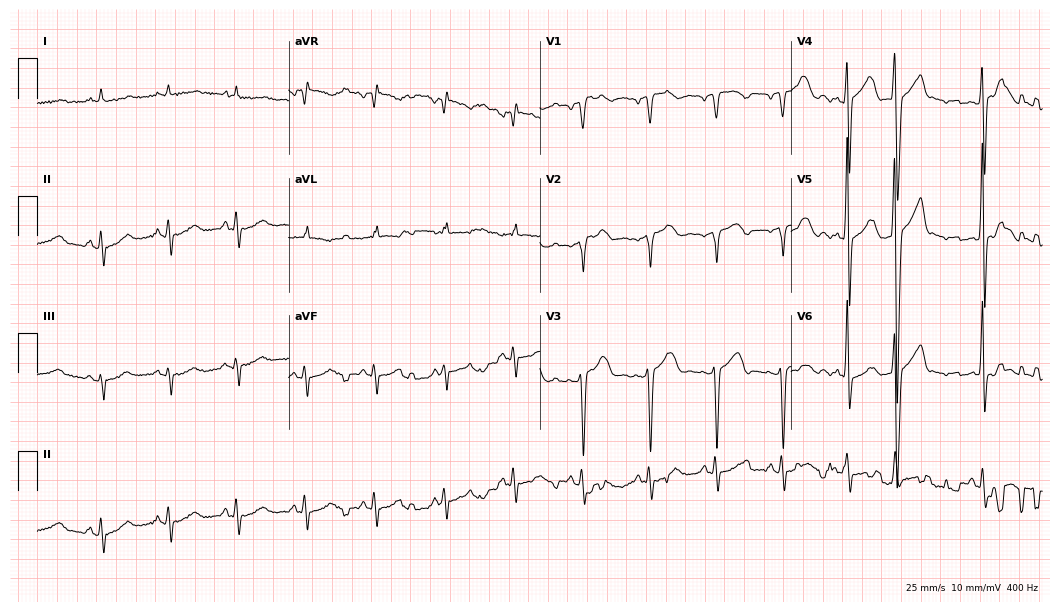
Standard 12-lead ECG recorded from a male, 65 years old. Read as a normal ECG.